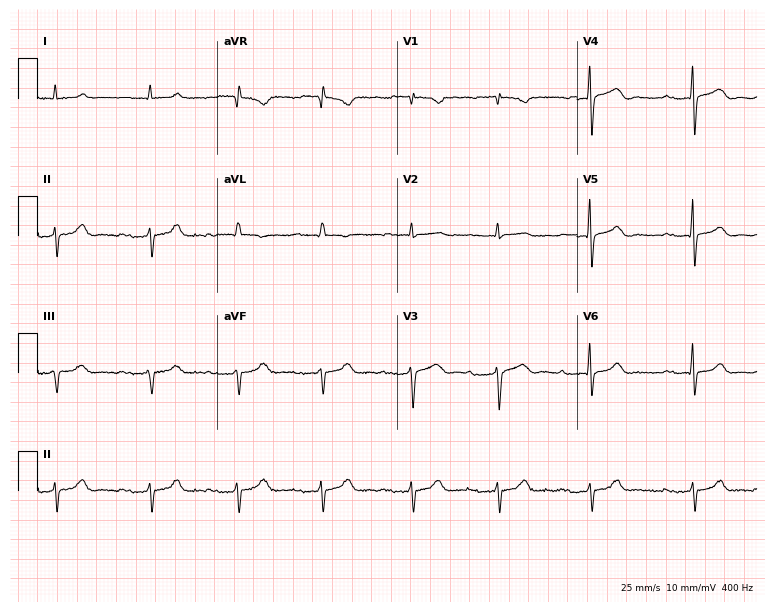
Electrocardiogram, an 82-year-old male patient. Interpretation includes first-degree AV block.